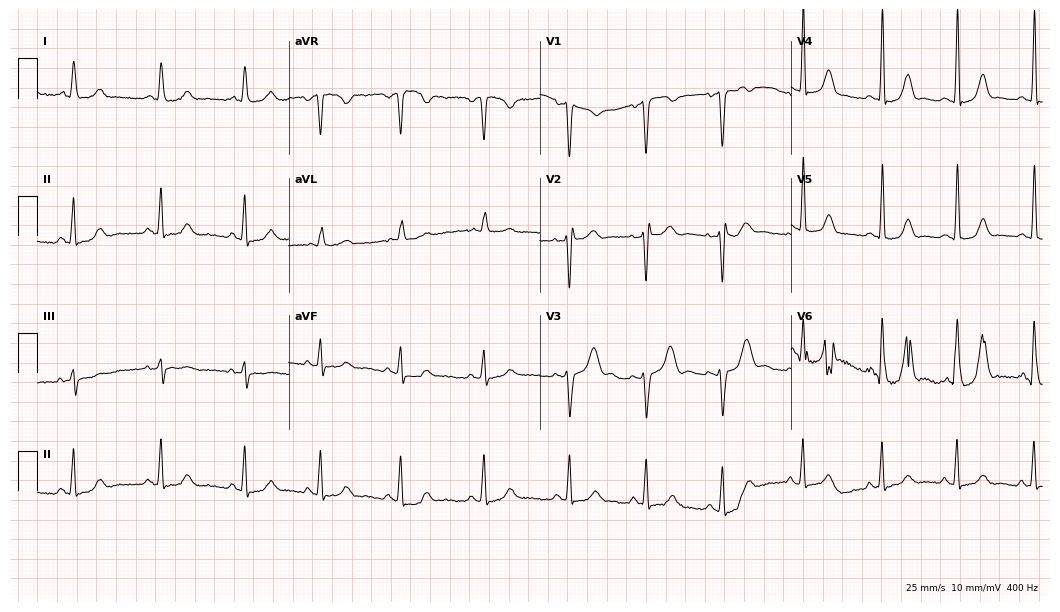
Resting 12-lead electrocardiogram. Patient: a female, 26 years old. None of these six findings is recorded: first-degree AV block, right bundle branch block, left bundle branch block, sinus bradycardia, atrial fibrillation, sinus tachycardia.